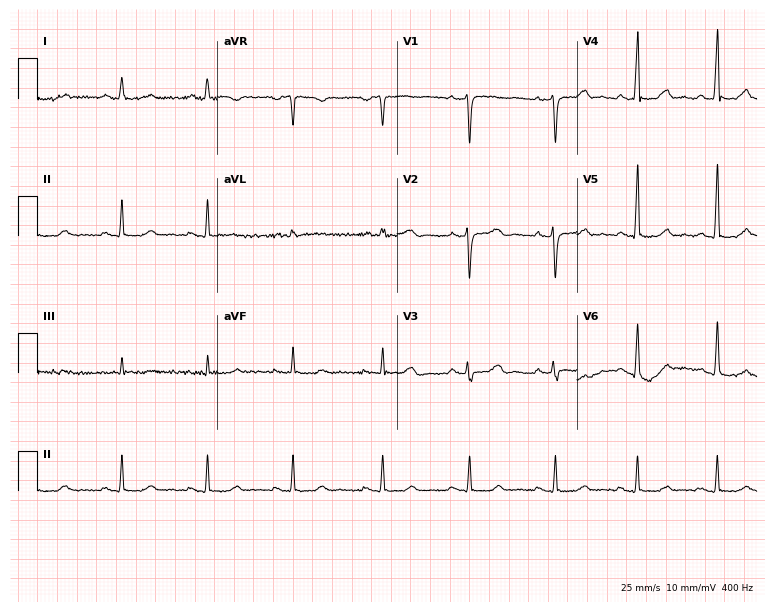
Electrocardiogram, a 52-year-old female patient. Overall reading on record: normal ECG.